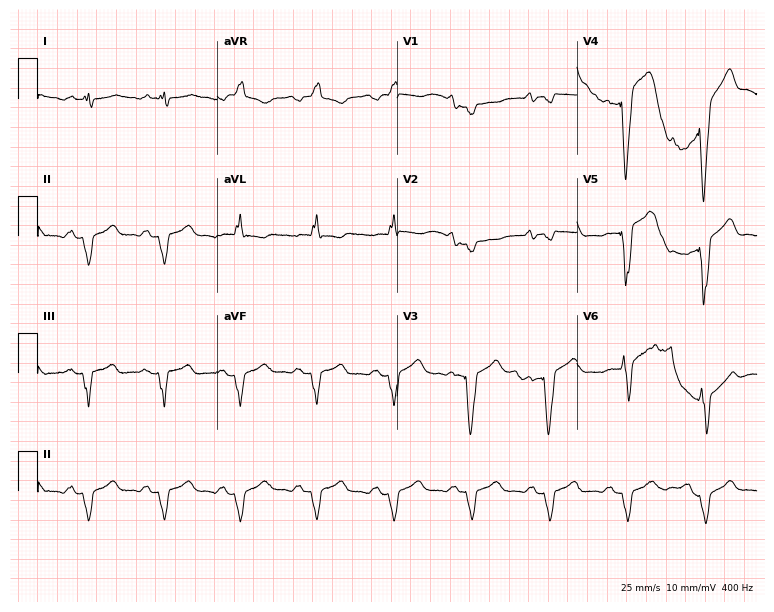
ECG — a male, 41 years old. Screened for six findings — first-degree AV block, right bundle branch block (RBBB), left bundle branch block (LBBB), sinus bradycardia, atrial fibrillation (AF), sinus tachycardia — none is recorded. Other findings, if any, are not listed.